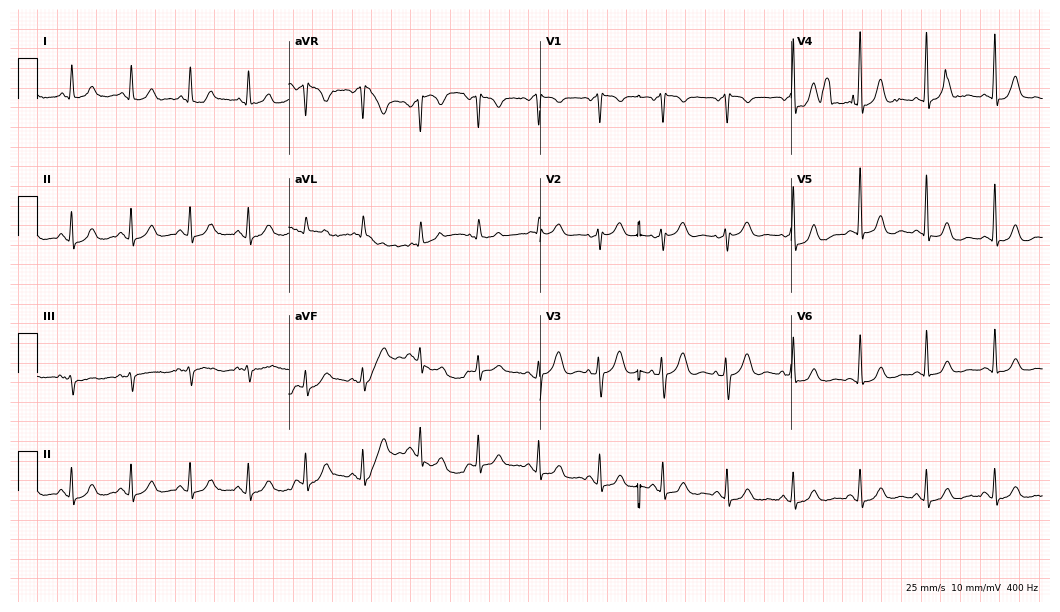
Resting 12-lead electrocardiogram (10.2-second recording at 400 Hz). Patient: a 63-year-old woman. None of these six findings is recorded: first-degree AV block, right bundle branch block, left bundle branch block, sinus bradycardia, atrial fibrillation, sinus tachycardia. Other findings, if any, are not listed.